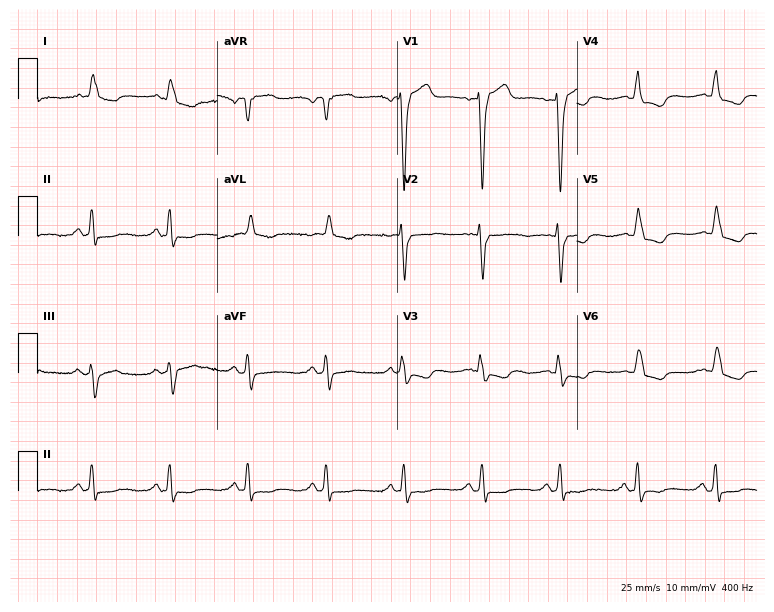
Standard 12-lead ECG recorded from a 66-year-old man. The tracing shows left bundle branch block (LBBB).